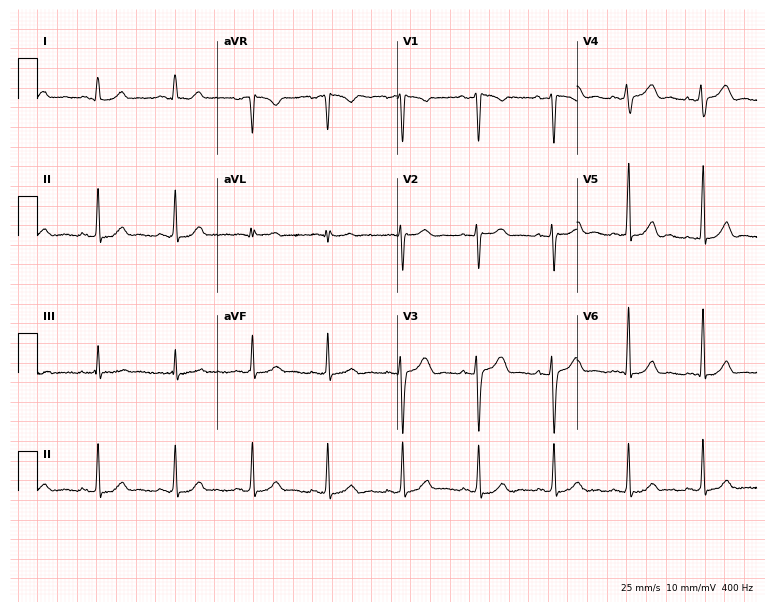
12-lead ECG from a female, 39 years old. Recorded interpretation: within normal limits.